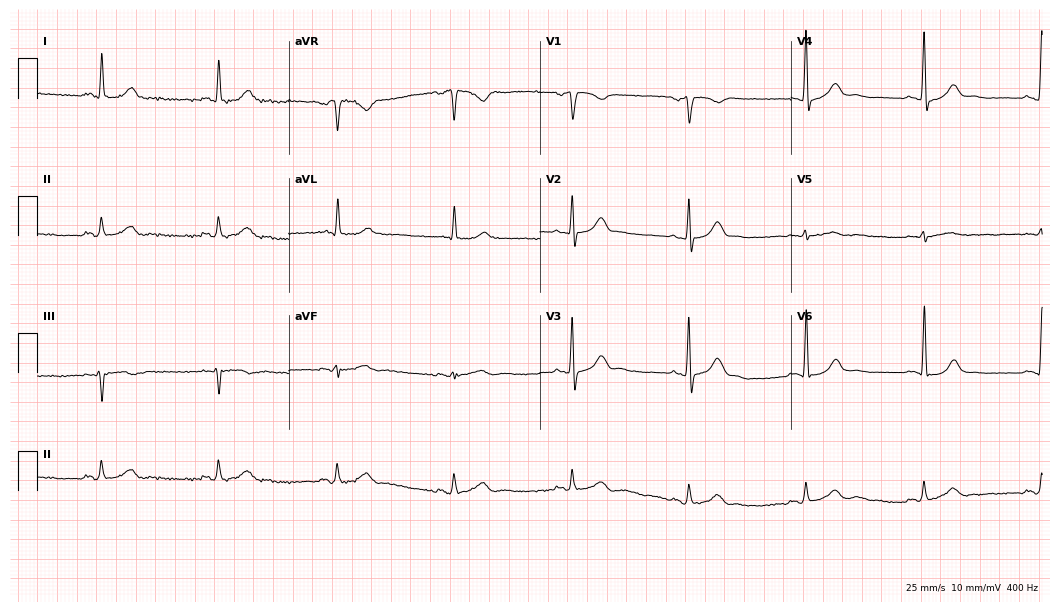
Resting 12-lead electrocardiogram (10.2-second recording at 400 Hz). Patient: a male, 49 years old. None of these six findings is recorded: first-degree AV block, right bundle branch block, left bundle branch block, sinus bradycardia, atrial fibrillation, sinus tachycardia.